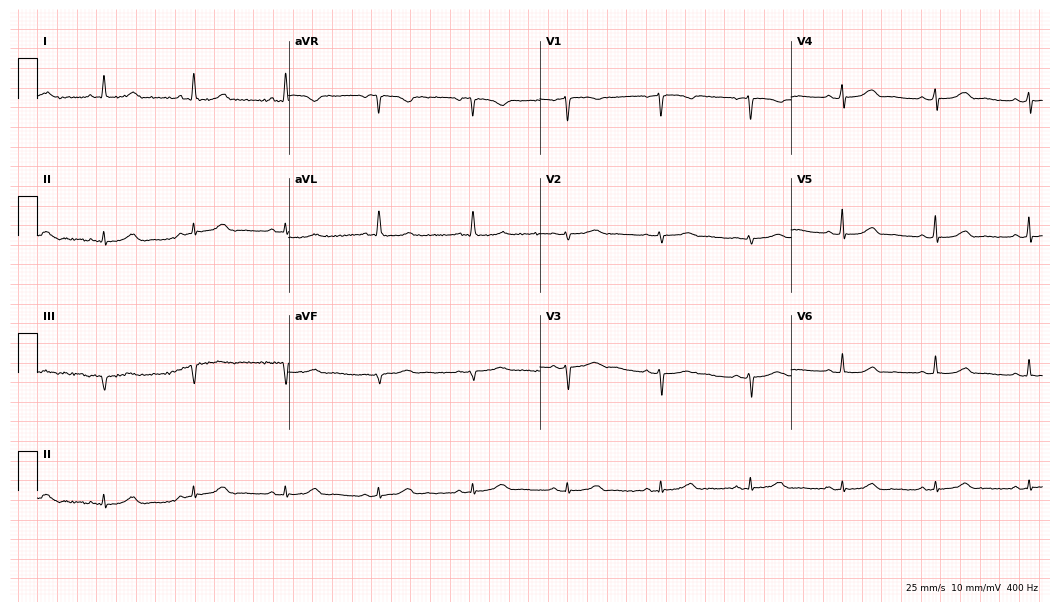
12-lead ECG from a 69-year-old woman. Recorded interpretation: within normal limits.